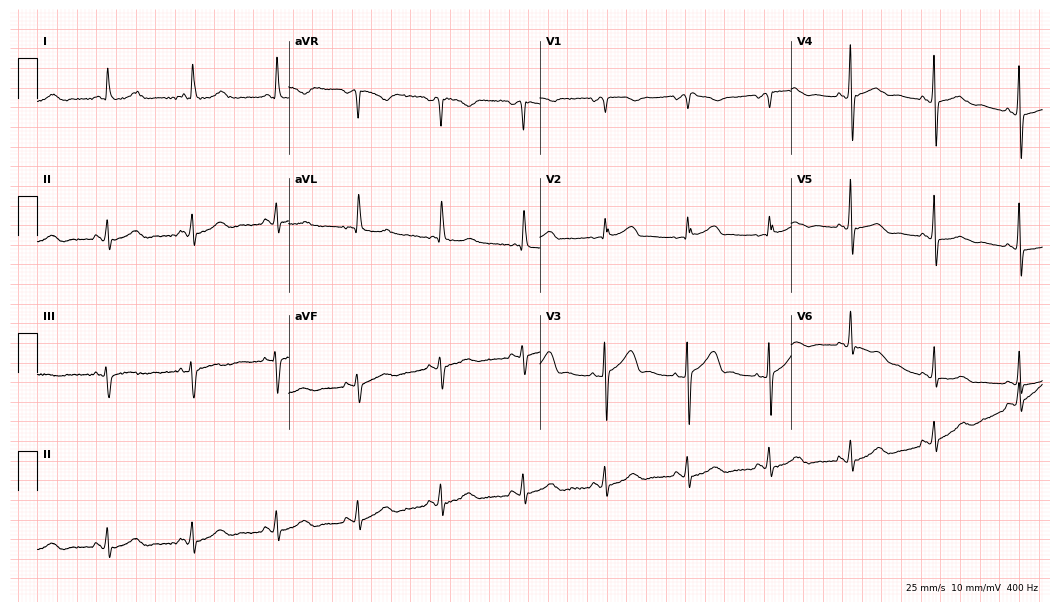
ECG (10.2-second recording at 400 Hz) — a woman, 62 years old. Screened for six findings — first-degree AV block, right bundle branch block (RBBB), left bundle branch block (LBBB), sinus bradycardia, atrial fibrillation (AF), sinus tachycardia — none is recorded. Findings outside these six are not listed.